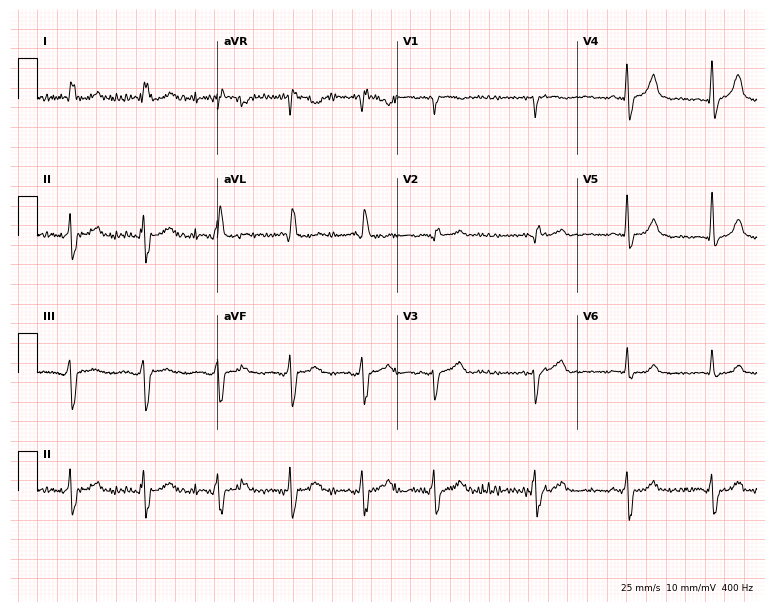
ECG (7.3-second recording at 400 Hz) — an 85-year-old female patient. Screened for six findings — first-degree AV block, right bundle branch block, left bundle branch block, sinus bradycardia, atrial fibrillation, sinus tachycardia — none is recorded.